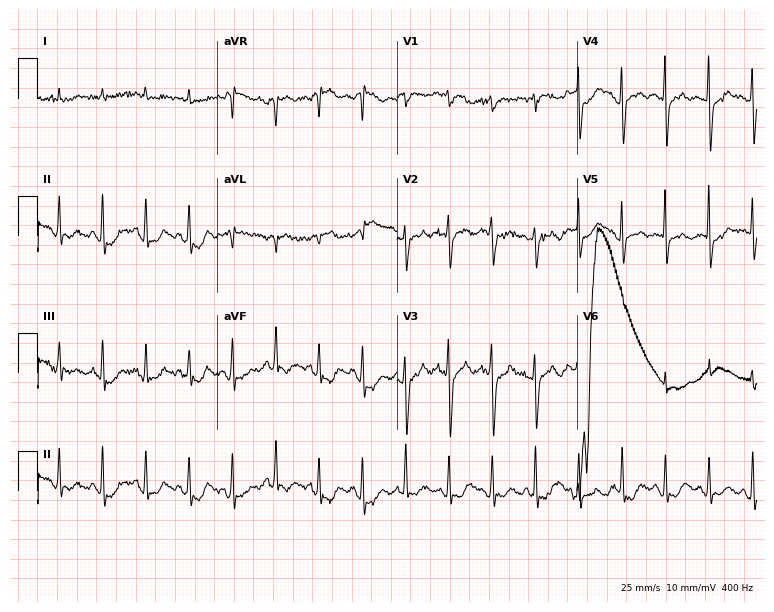
Electrocardiogram (7.3-second recording at 400 Hz), a male, 84 years old. Interpretation includes sinus tachycardia (a sinus rate of 100 beats per minute or more).